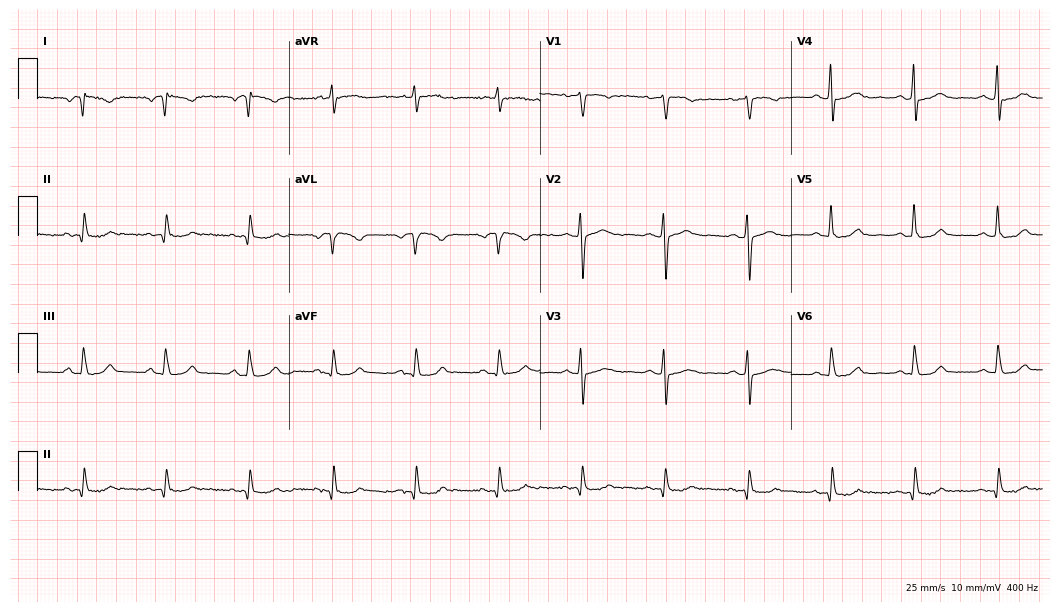
Standard 12-lead ECG recorded from a woman, 44 years old. Read as a normal ECG.